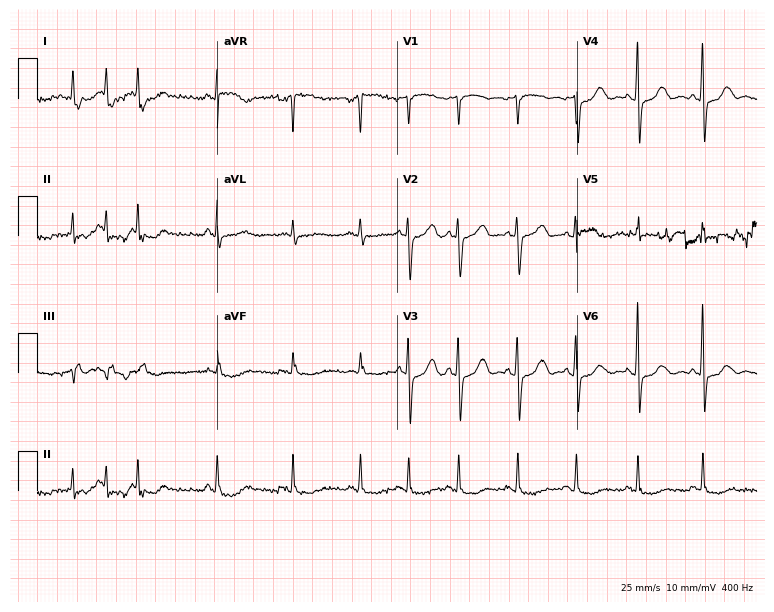
Resting 12-lead electrocardiogram (7.3-second recording at 400 Hz). Patient: a woman, 82 years old. None of these six findings is recorded: first-degree AV block, right bundle branch block, left bundle branch block, sinus bradycardia, atrial fibrillation, sinus tachycardia. Only these six findings were labelled.